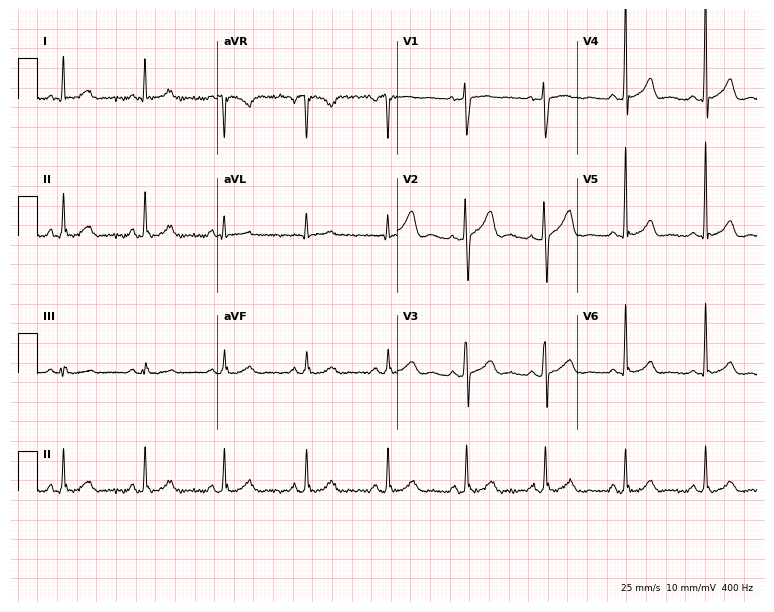
Electrocardiogram, a female, 55 years old. Overall reading on record: normal ECG.